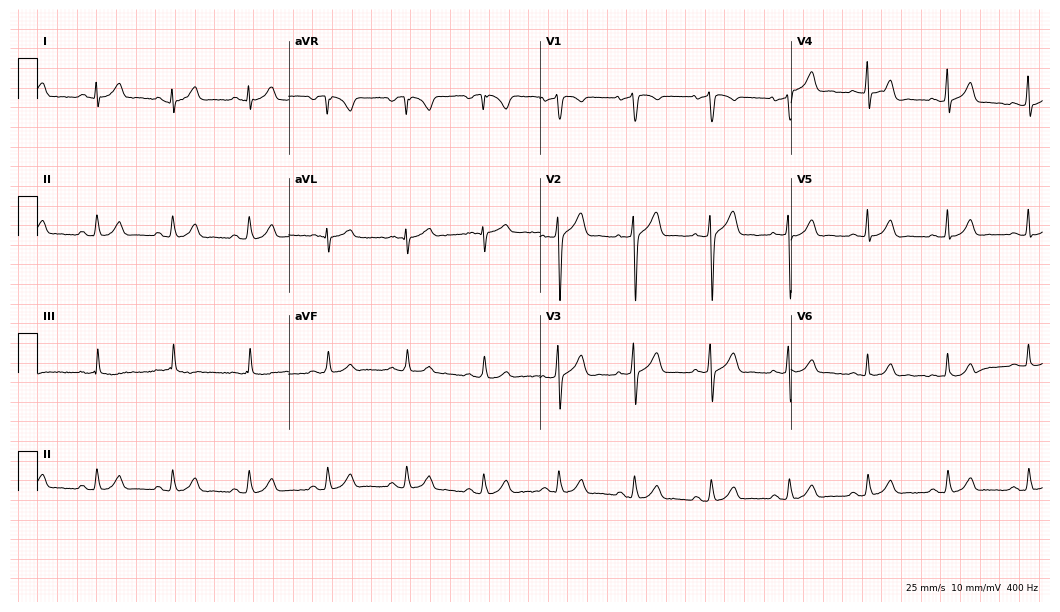
Standard 12-lead ECG recorded from a male, 32 years old (10.2-second recording at 400 Hz). Read as a normal ECG.